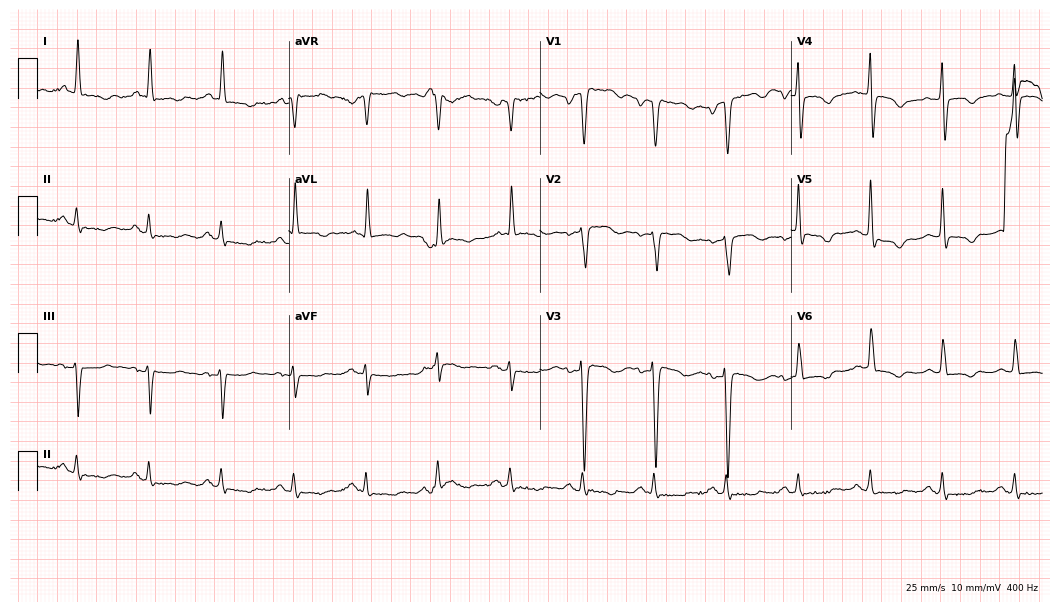
Electrocardiogram (10.2-second recording at 400 Hz), a woman, 85 years old. Of the six screened findings (first-degree AV block, right bundle branch block (RBBB), left bundle branch block (LBBB), sinus bradycardia, atrial fibrillation (AF), sinus tachycardia), none is recorded. Only these six findings were labelled.